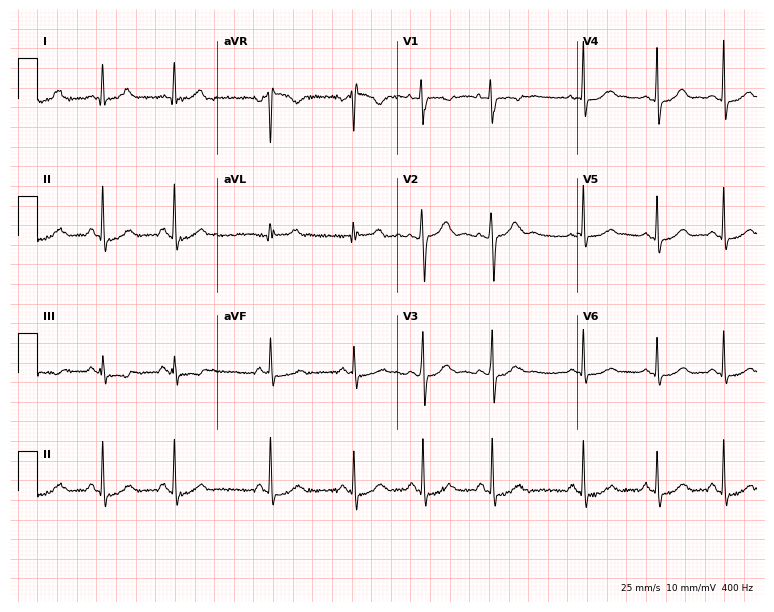
ECG — a 19-year-old female. Screened for six findings — first-degree AV block, right bundle branch block, left bundle branch block, sinus bradycardia, atrial fibrillation, sinus tachycardia — none is recorded.